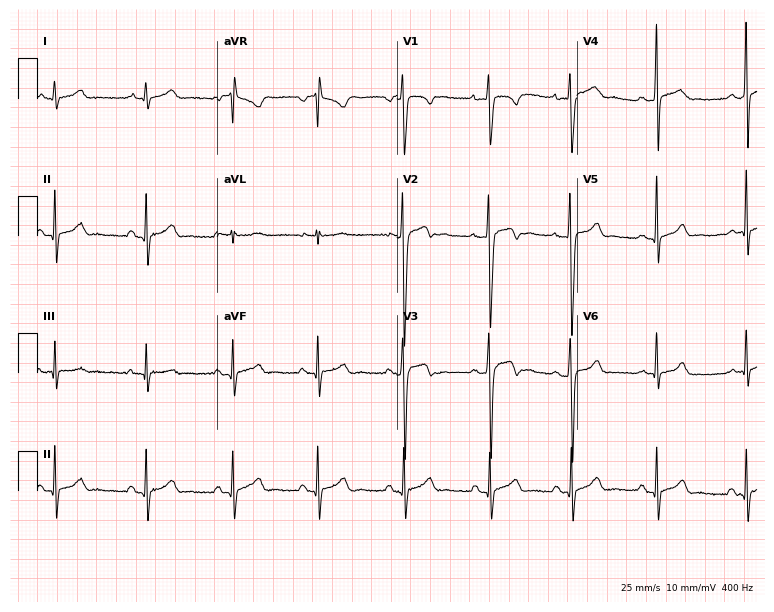
Resting 12-lead electrocardiogram (7.3-second recording at 400 Hz). Patient: a 19-year-old male. Read as a normal ECG.